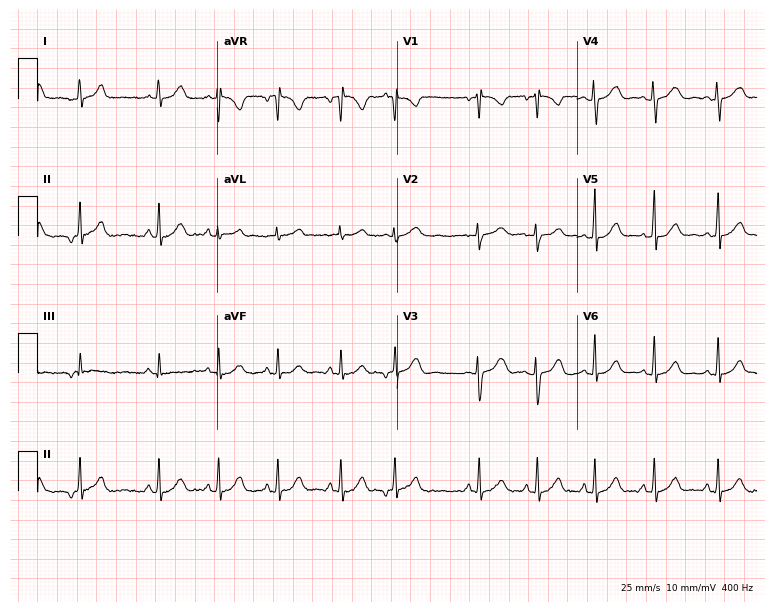
ECG (7.3-second recording at 400 Hz) — a female patient, 18 years old. Screened for six findings — first-degree AV block, right bundle branch block (RBBB), left bundle branch block (LBBB), sinus bradycardia, atrial fibrillation (AF), sinus tachycardia — none is recorded.